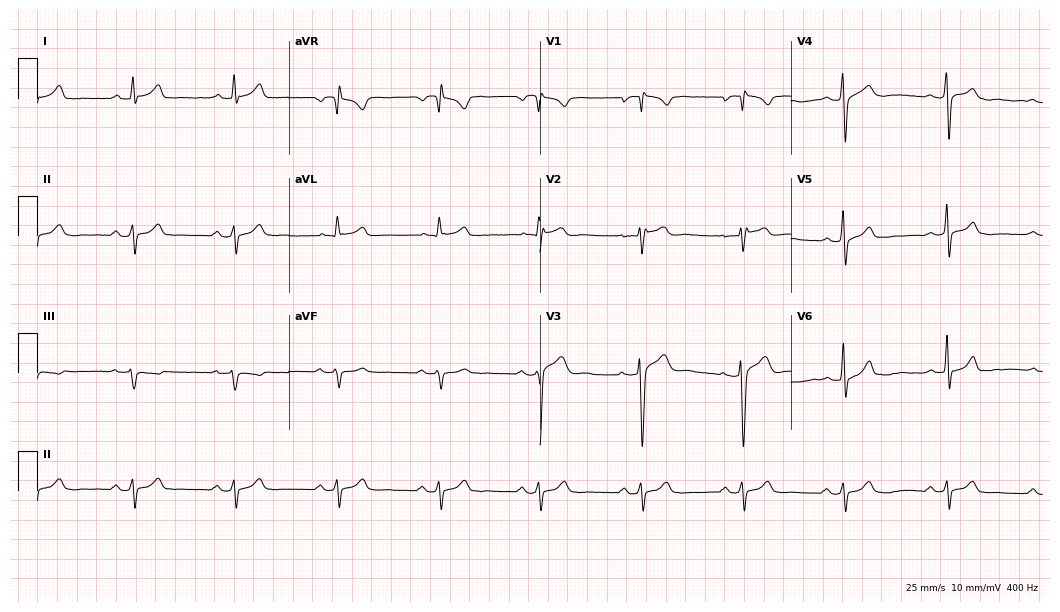
Electrocardiogram (10.2-second recording at 400 Hz), a 29-year-old male. Of the six screened findings (first-degree AV block, right bundle branch block, left bundle branch block, sinus bradycardia, atrial fibrillation, sinus tachycardia), none is recorded.